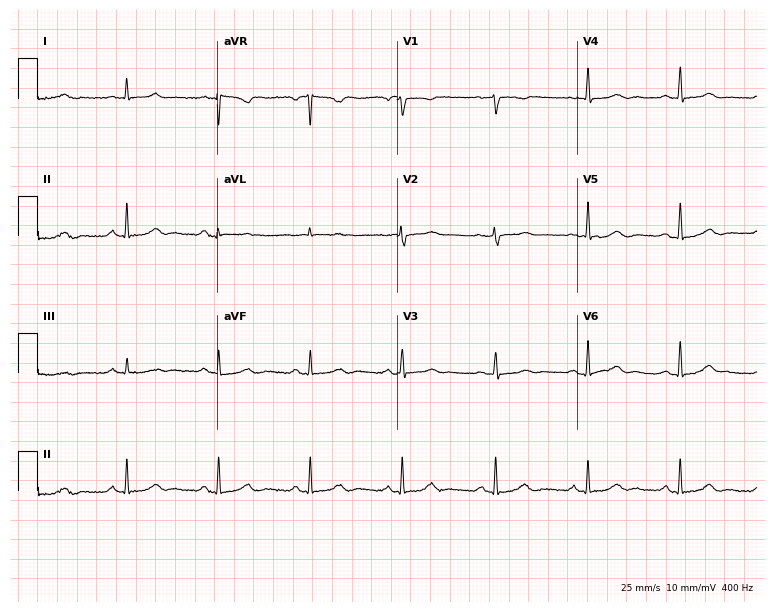
Standard 12-lead ECG recorded from a 62-year-old female. None of these six findings is recorded: first-degree AV block, right bundle branch block (RBBB), left bundle branch block (LBBB), sinus bradycardia, atrial fibrillation (AF), sinus tachycardia. Only these six findings were labelled.